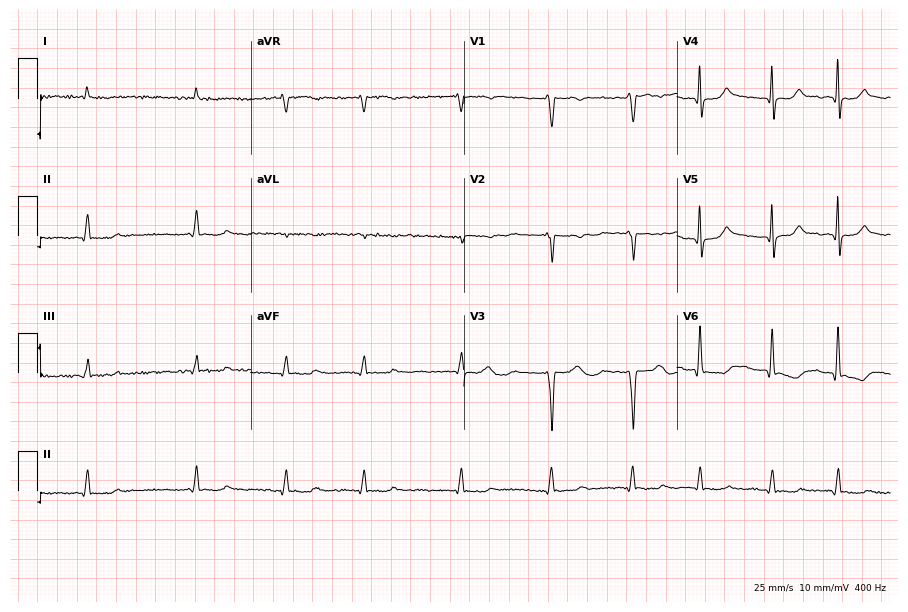
Electrocardiogram, a male patient, 79 years old. Of the six screened findings (first-degree AV block, right bundle branch block, left bundle branch block, sinus bradycardia, atrial fibrillation, sinus tachycardia), none is recorded. Findings outside these six are not listed.